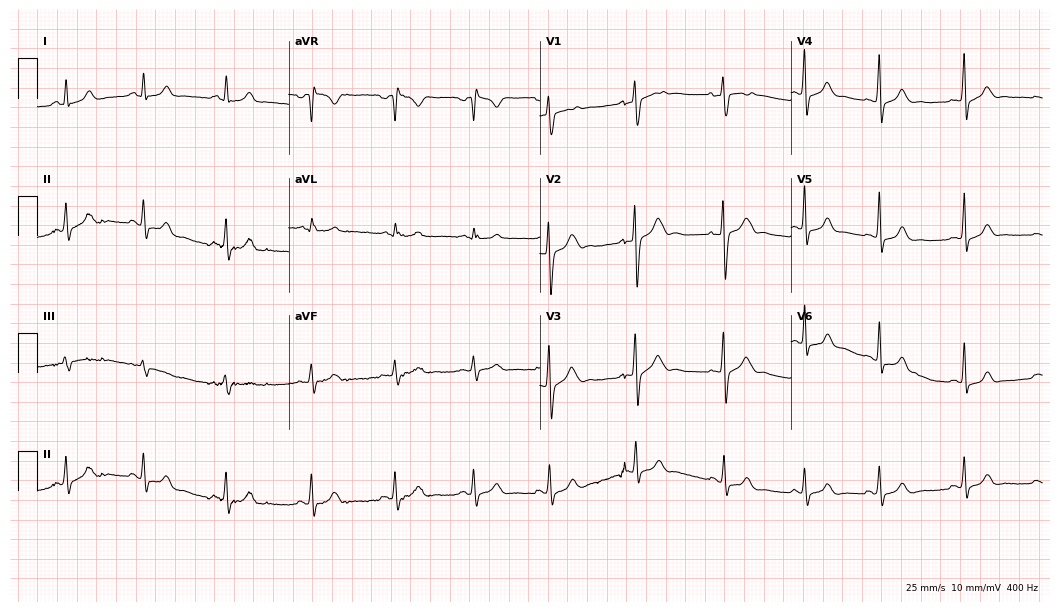
Standard 12-lead ECG recorded from a 19-year-old woman. None of these six findings is recorded: first-degree AV block, right bundle branch block, left bundle branch block, sinus bradycardia, atrial fibrillation, sinus tachycardia.